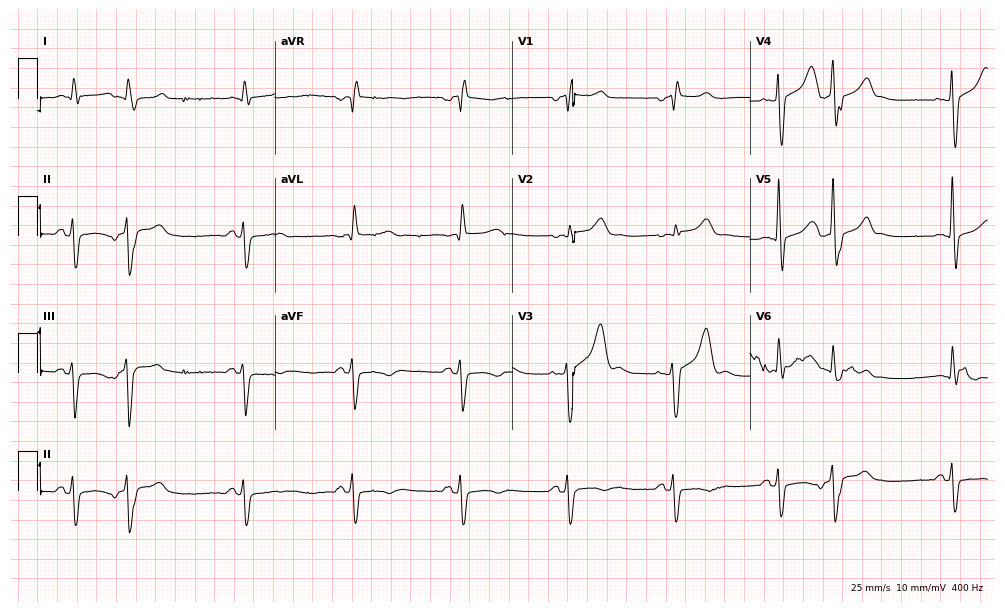
12-lead ECG from a 76-year-old male (9.7-second recording at 400 Hz). No first-degree AV block, right bundle branch block, left bundle branch block, sinus bradycardia, atrial fibrillation or sinus tachycardia recorded for this tracing.